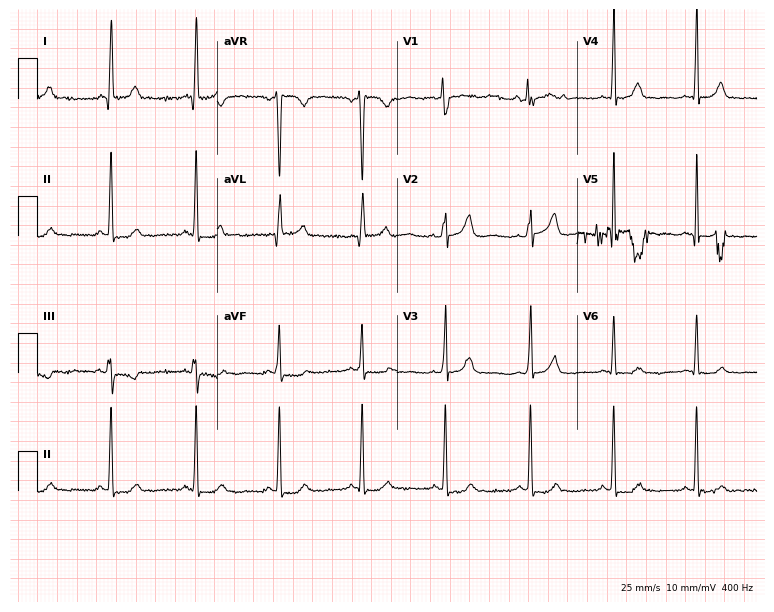
ECG (7.3-second recording at 400 Hz) — a 33-year-old woman. Labelled as a normal ECG.